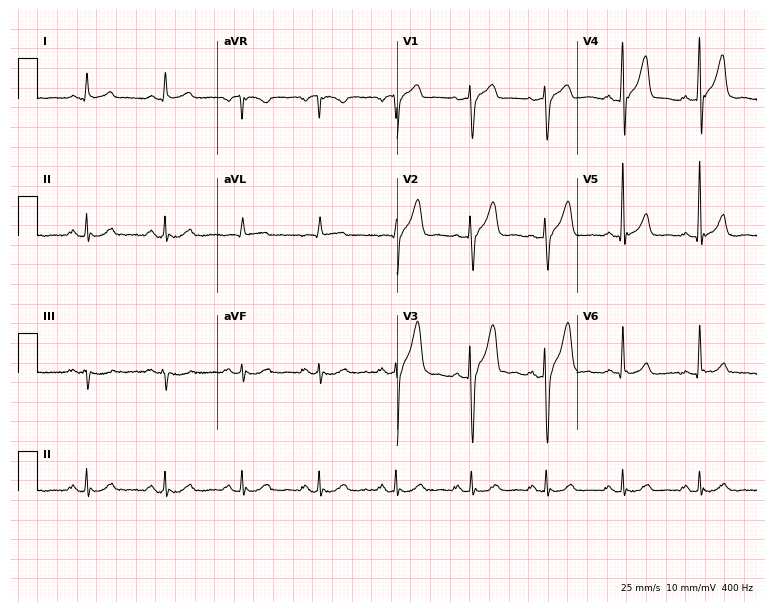
ECG (7.3-second recording at 400 Hz) — a male patient, 60 years old. Labelled as a normal ECG.